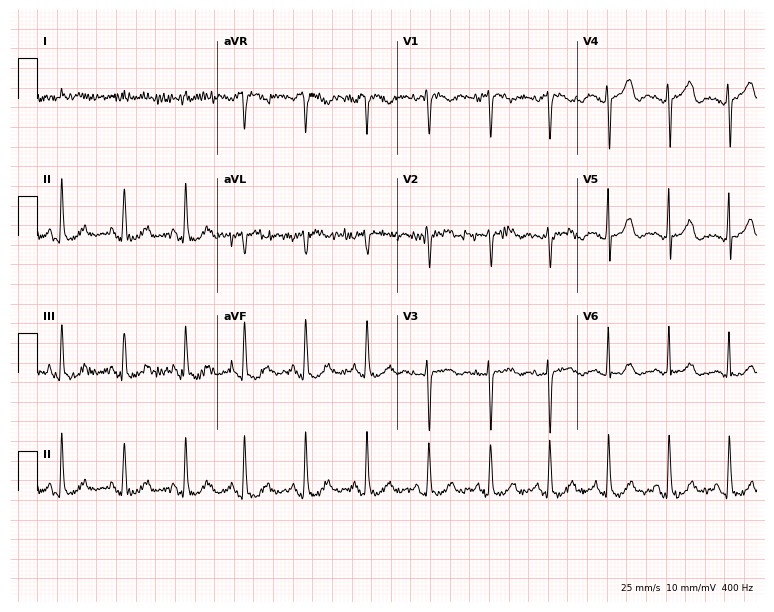
ECG (7.3-second recording at 400 Hz) — a female, 67 years old. Screened for six findings — first-degree AV block, right bundle branch block (RBBB), left bundle branch block (LBBB), sinus bradycardia, atrial fibrillation (AF), sinus tachycardia — none is recorded. Other findings, if any, are not listed.